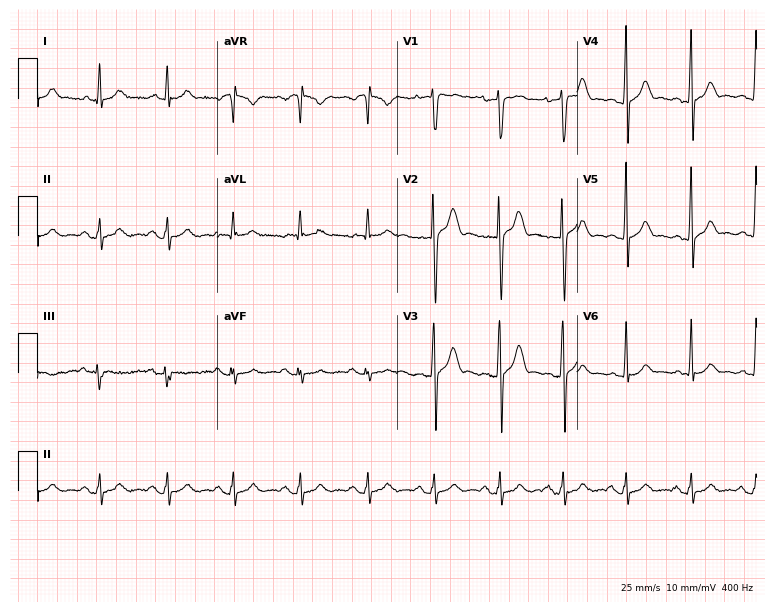
12-lead ECG from a man, 42 years old. No first-degree AV block, right bundle branch block (RBBB), left bundle branch block (LBBB), sinus bradycardia, atrial fibrillation (AF) or sinus tachycardia recorded for this tracing. Findings outside these six are not listed.